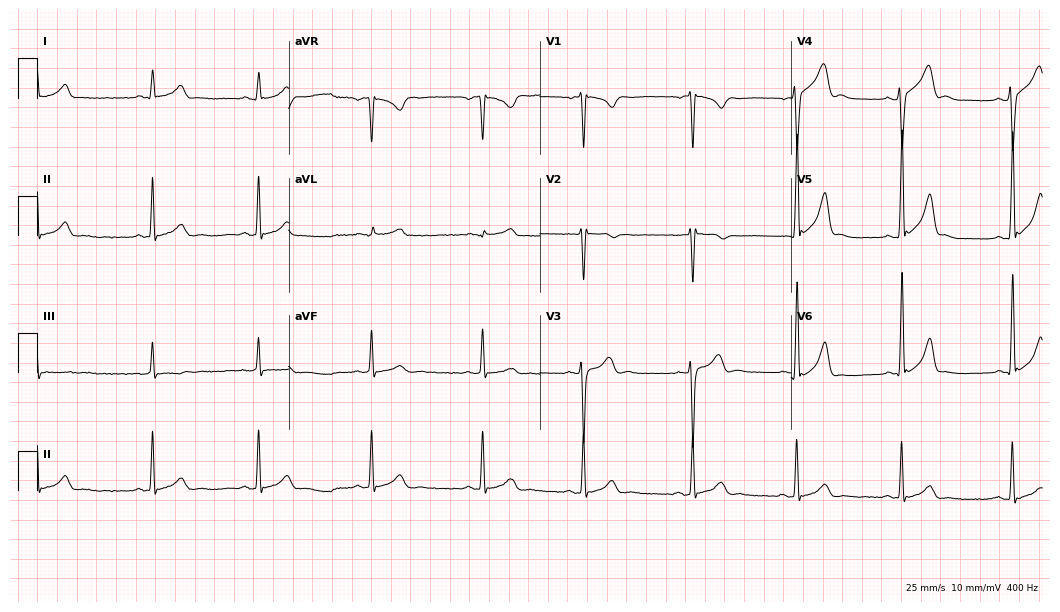
Electrocardiogram, an 18-year-old man. Overall reading on record: normal ECG.